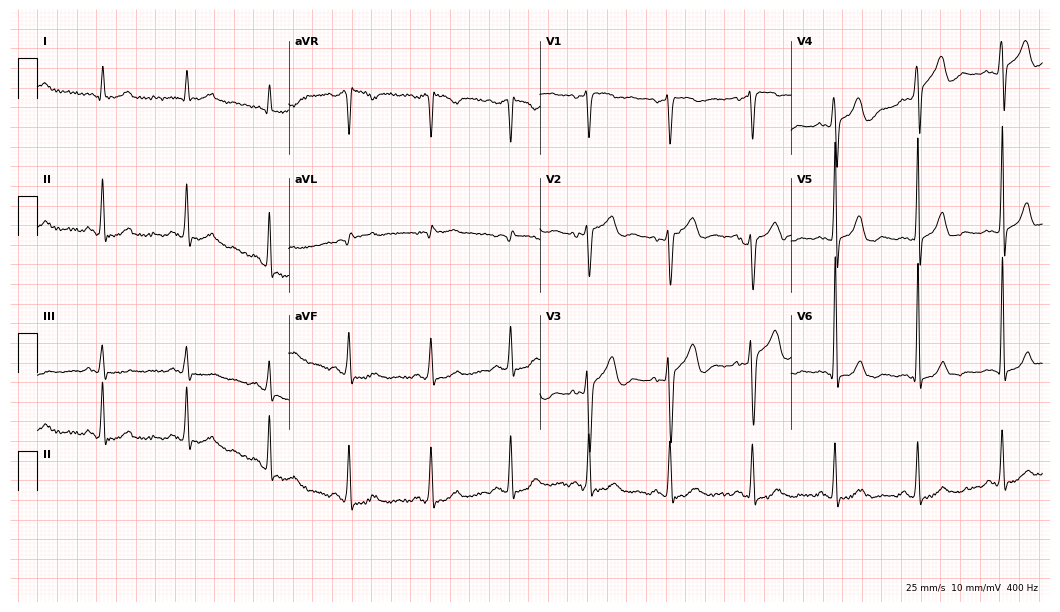
Resting 12-lead electrocardiogram (10.2-second recording at 400 Hz). Patient: a male, 56 years old. Read as a normal ECG.